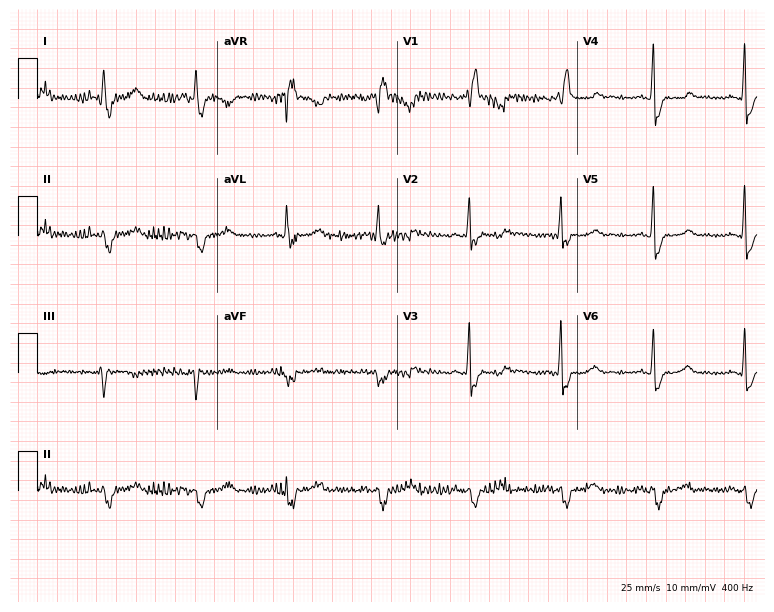
12-lead ECG from a 52-year-old female patient. Shows right bundle branch block (RBBB).